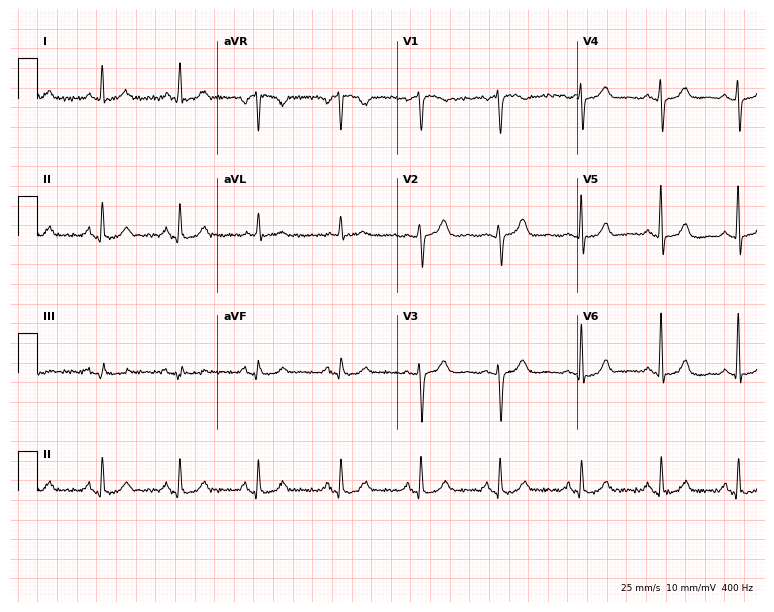
12-lead ECG from a female patient, 64 years old. Screened for six findings — first-degree AV block, right bundle branch block, left bundle branch block, sinus bradycardia, atrial fibrillation, sinus tachycardia — none is recorded. Only these six findings were labelled.